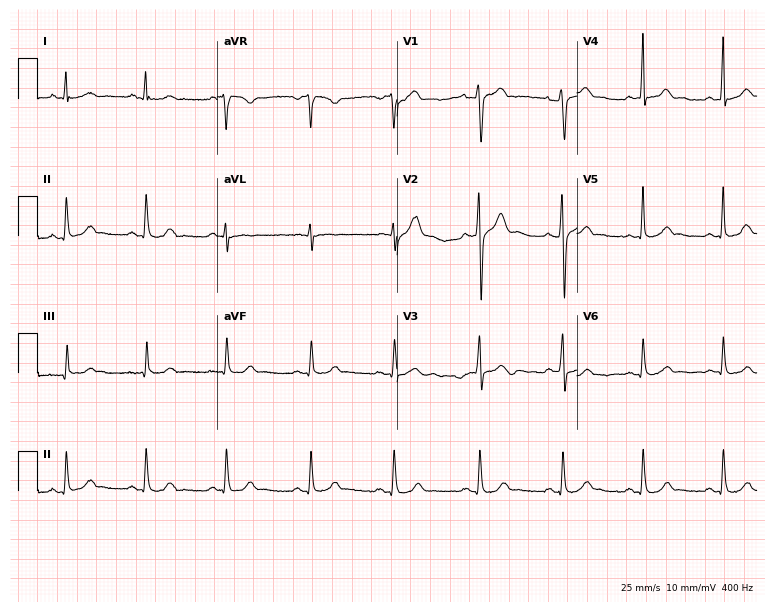
Standard 12-lead ECG recorded from a male patient, 31 years old. Read as a normal ECG.